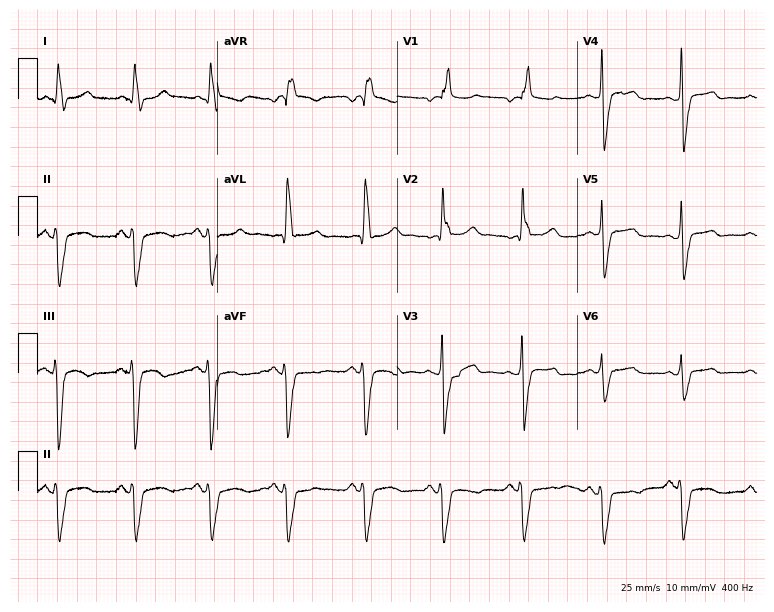
Electrocardiogram (7.3-second recording at 400 Hz), a 71-year-old male. Interpretation includes right bundle branch block.